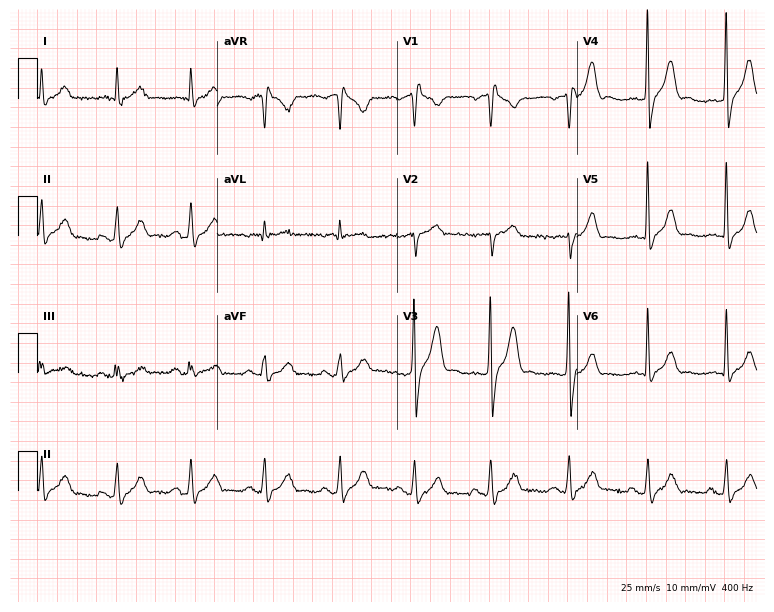
ECG — a 40-year-old male. Screened for six findings — first-degree AV block, right bundle branch block (RBBB), left bundle branch block (LBBB), sinus bradycardia, atrial fibrillation (AF), sinus tachycardia — none is recorded. Only these six findings were labelled.